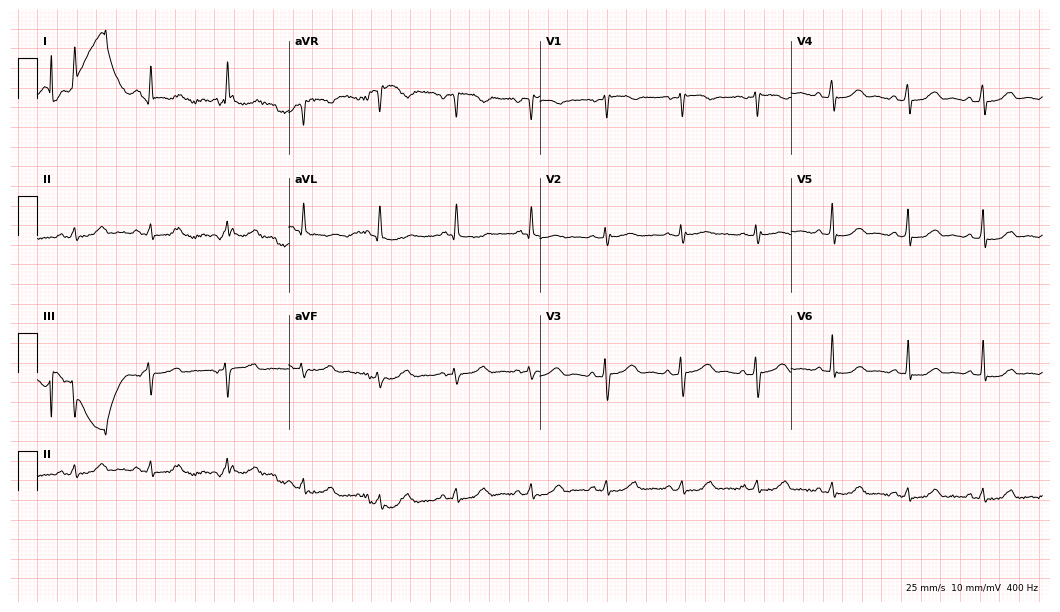
Electrocardiogram, a woman, 60 years old. Of the six screened findings (first-degree AV block, right bundle branch block, left bundle branch block, sinus bradycardia, atrial fibrillation, sinus tachycardia), none is recorded.